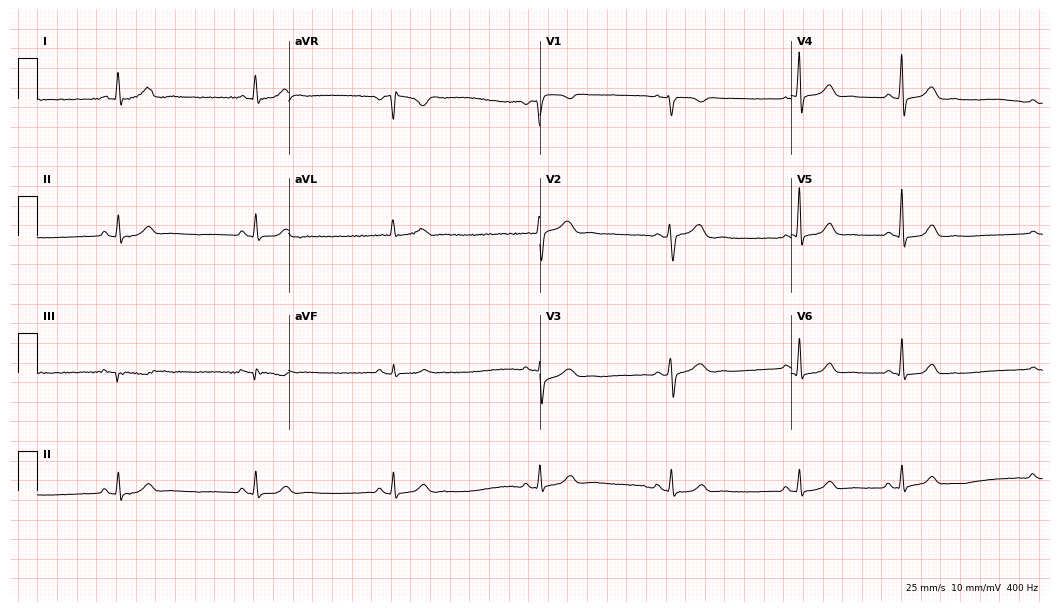
Electrocardiogram (10.2-second recording at 400 Hz), a 38-year-old male. Interpretation includes sinus bradycardia (a sinus rate of 50 beats per minute or less).